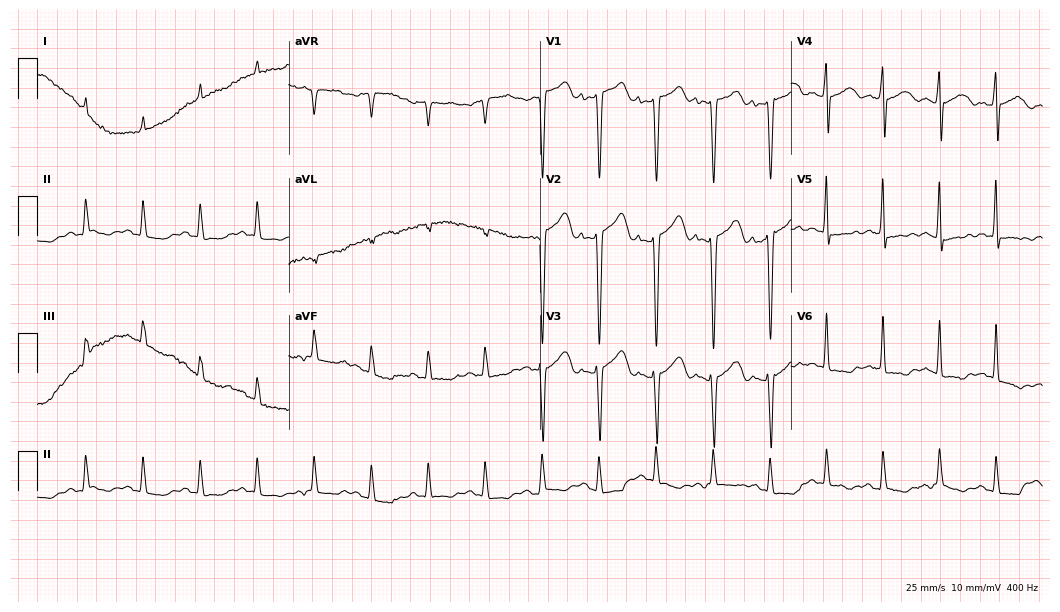
ECG — a 62-year-old man. Findings include sinus tachycardia (a sinus rate of 100 beats per minute or more).